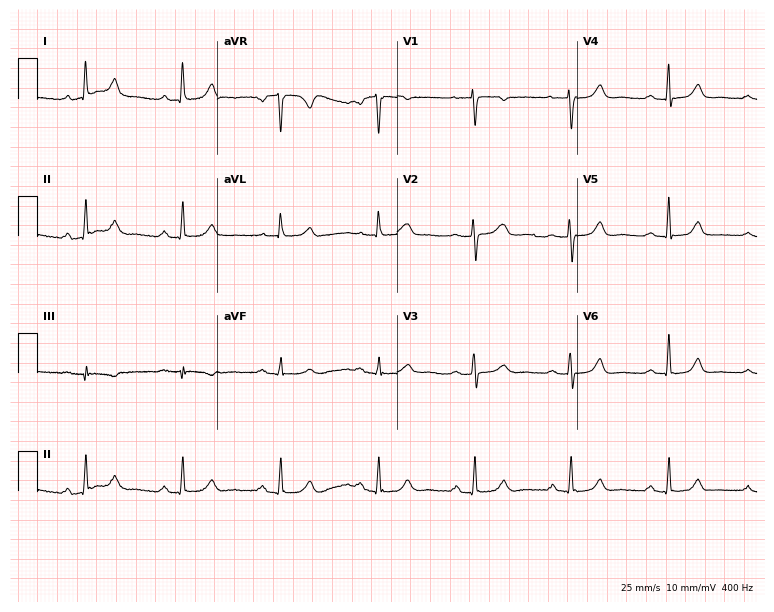
Standard 12-lead ECG recorded from a female patient, 67 years old (7.3-second recording at 400 Hz). Read as a normal ECG.